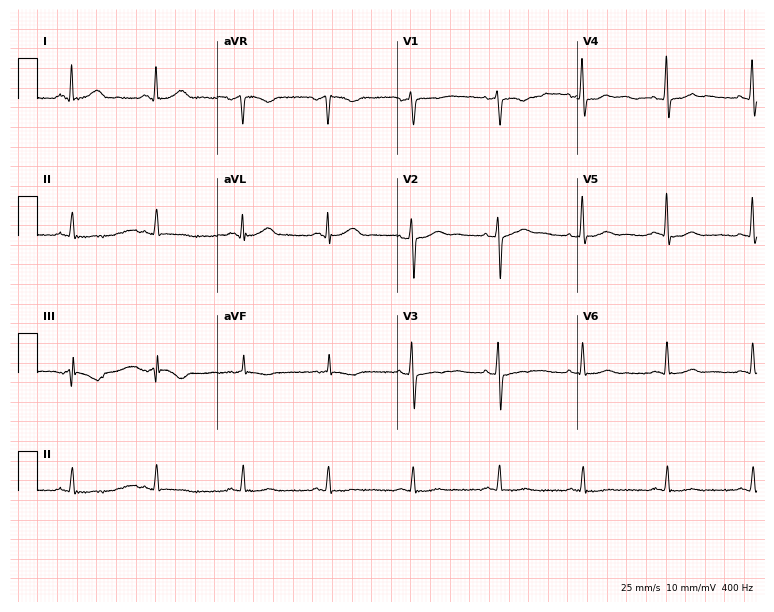
12-lead ECG (7.3-second recording at 400 Hz) from a 50-year-old female patient. Screened for six findings — first-degree AV block, right bundle branch block, left bundle branch block, sinus bradycardia, atrial fibrillation, sinus tachycardia — none is recorded.